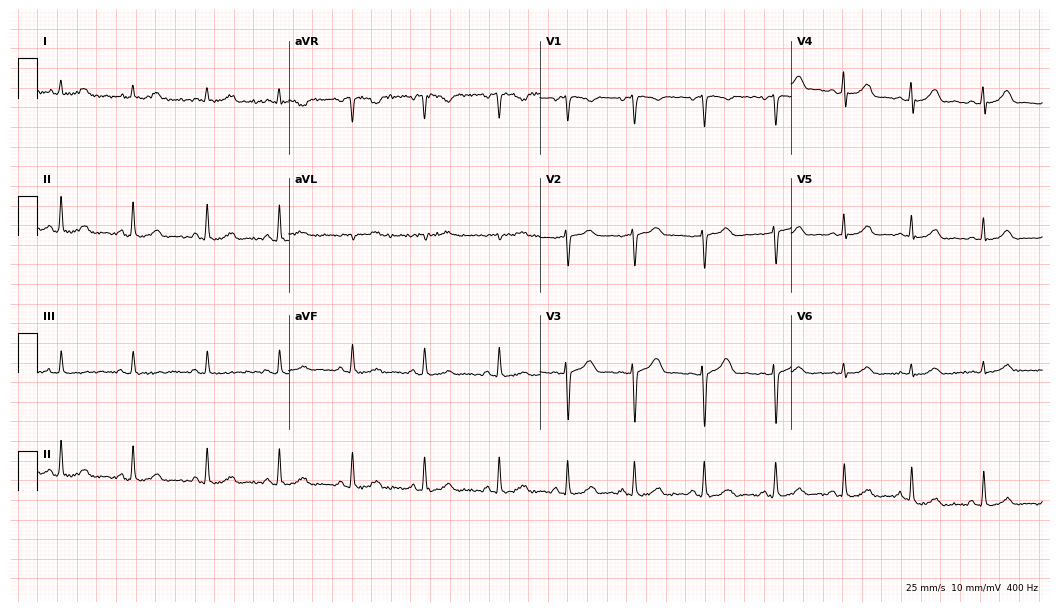
12-lead ECG from a 27-year-old female patient. Labelled as a normal ECG.